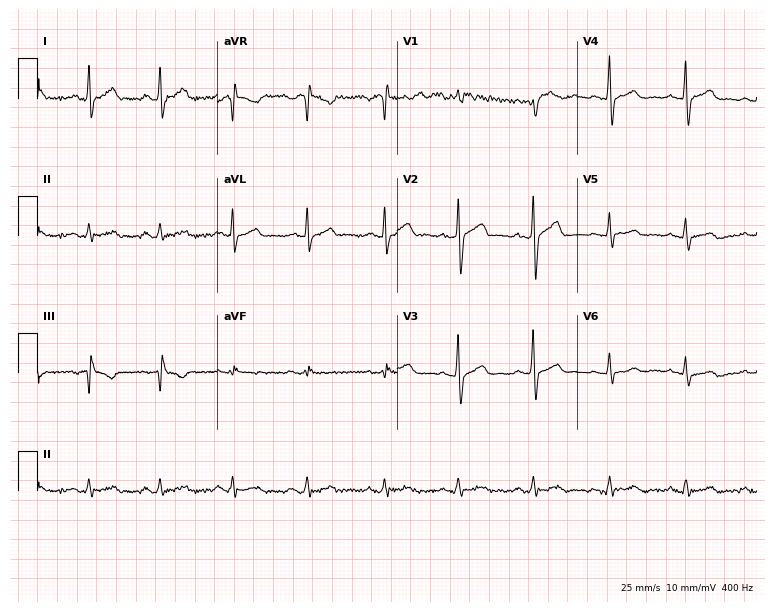
12-lead ECG (7.3-second recording at 400 Hz) from a 41-year-old male patient. Labelled as a normal ECG.